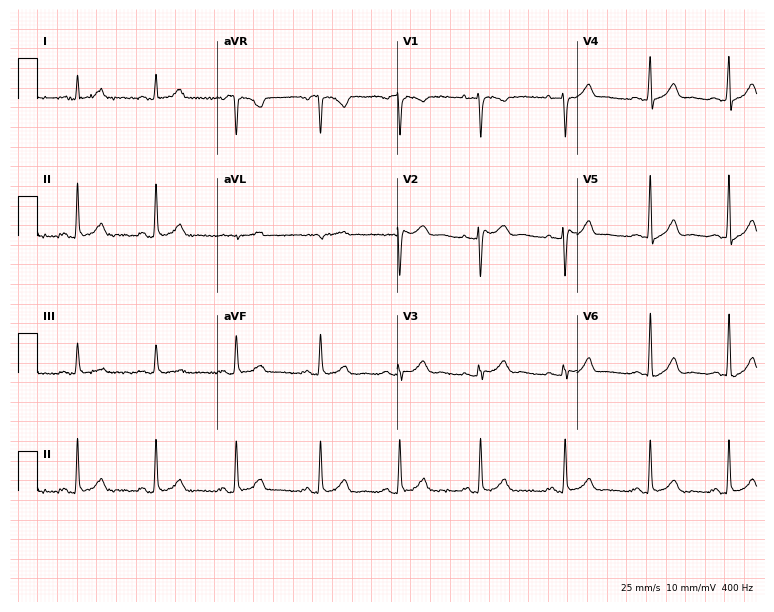
Resting 12-lead electrocardiogram. Patient: a 34-year-old female. None of these six findings is recorded: first-degree AV block, right bundle branch block, left bundle branch block, sinus bradycardia, atrial fibrillation, sinus tachycardia. Other findings, if any, are not listed.